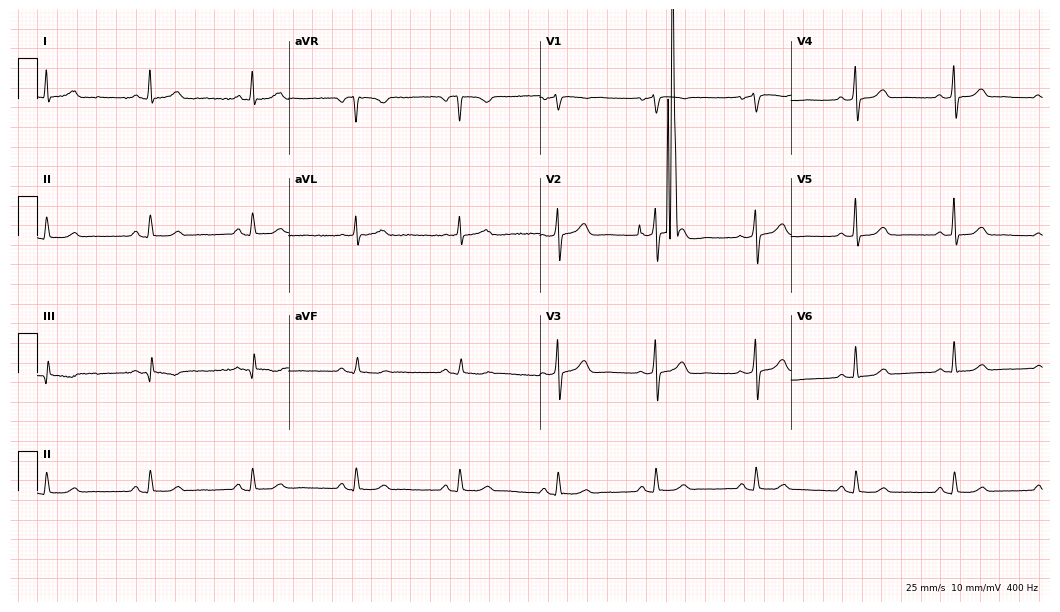
12-lead ECG from a 60-year-old man (10.2-second recording at 400 Hz). Recorded interpretation: within normal limits.